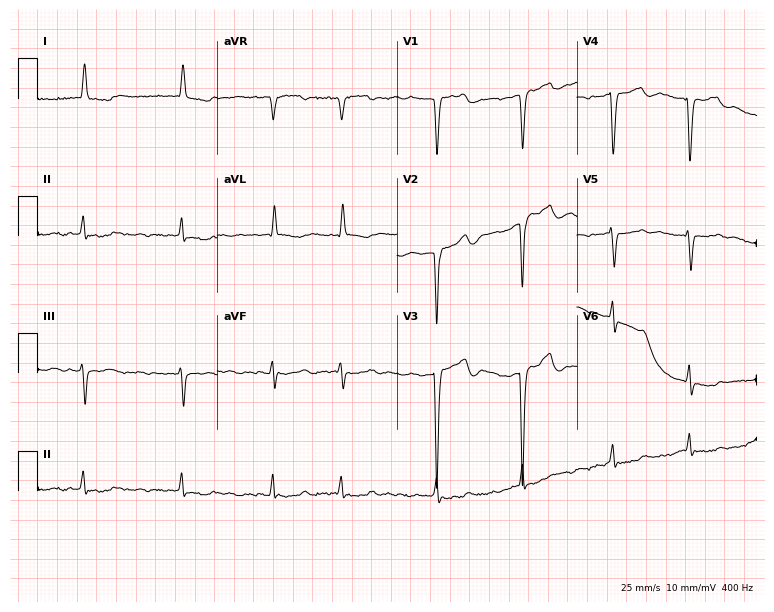
ECG (7.3-second recording at 400 Hz) — a woman, 79 years old. Findings include atrial fibrillation.